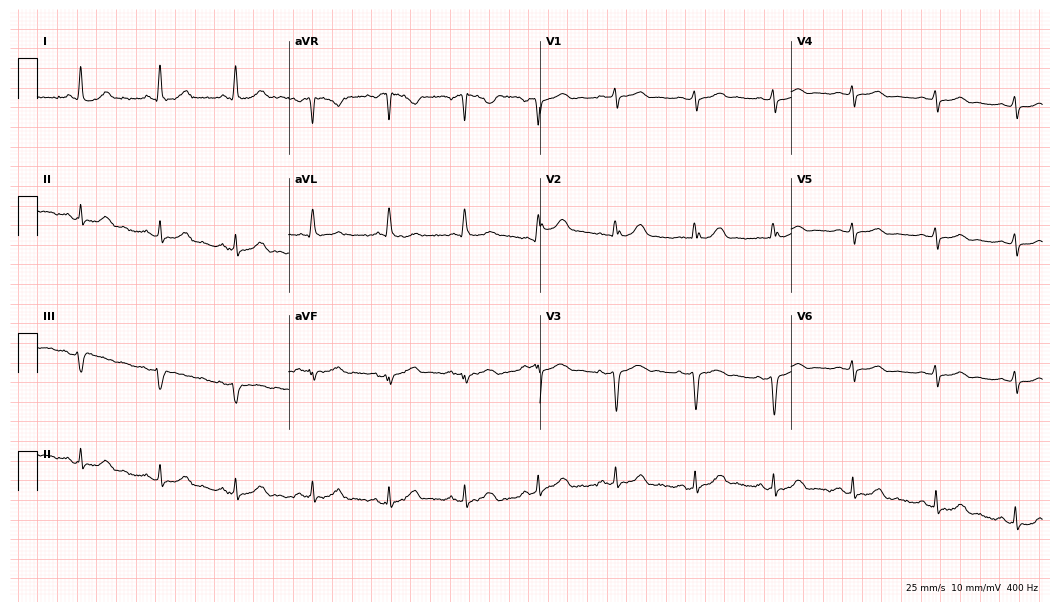
Standard 12-lead ECG recorded from a 41-year-old female patient (10.2-second recording at 400 Hz). Read as a normal ECG.